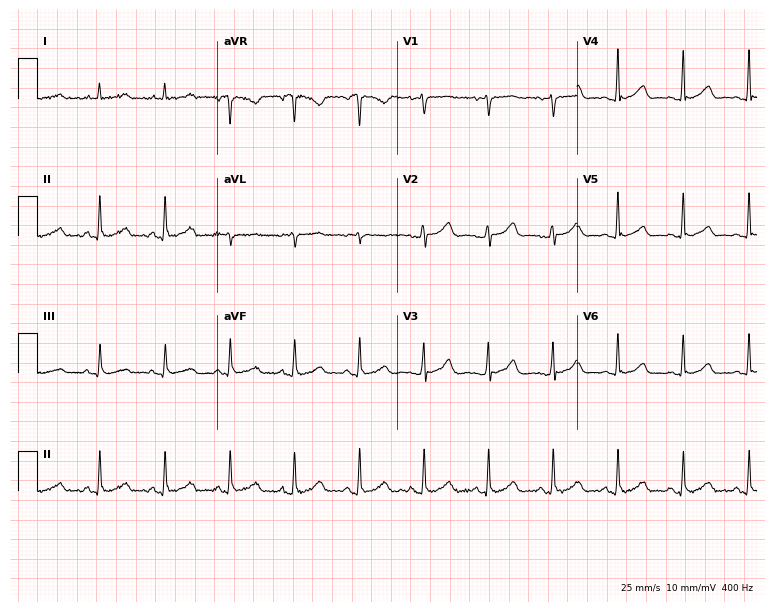
Resting 12-lead electrocardiogram (7.3-second recording at 400 Hz). Patient: a female, 53 years old. Read as a normal ECG.